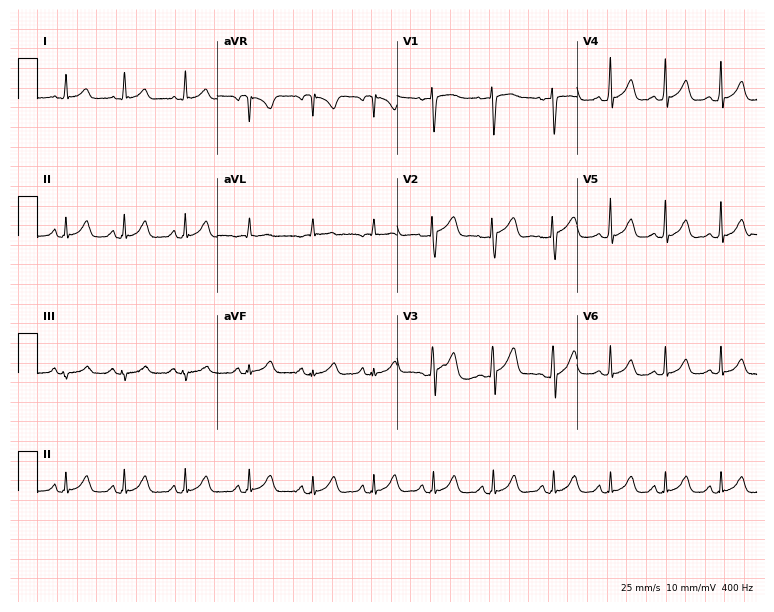
12-lead ECG (7.3-second recording at 400 Hz) from a female, 44 years old. Labelled as a normal ECG.